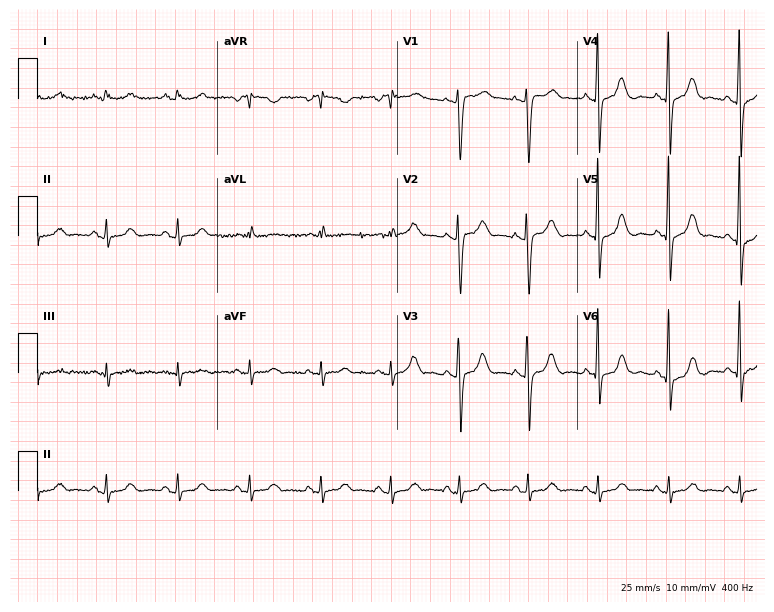
Standard 12-lead ECG recorded from a 70-year-old woman. None of these six findings is recorded: first-degree AV block, right bundle branch block, left bundle branch block, sinus bradycardia, atrial fibrillation, sinus tachycardia.